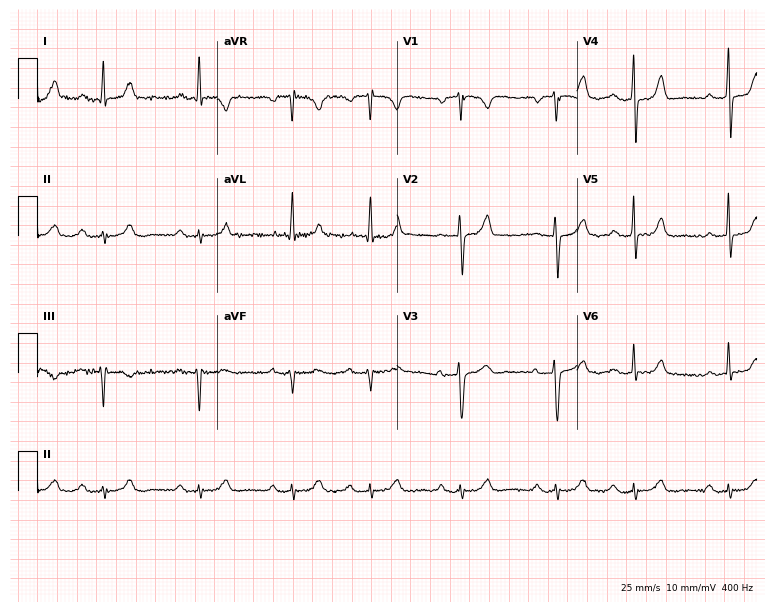
12-lead ECG from an 83-year-old male patient. Findings include first-degree AV block.